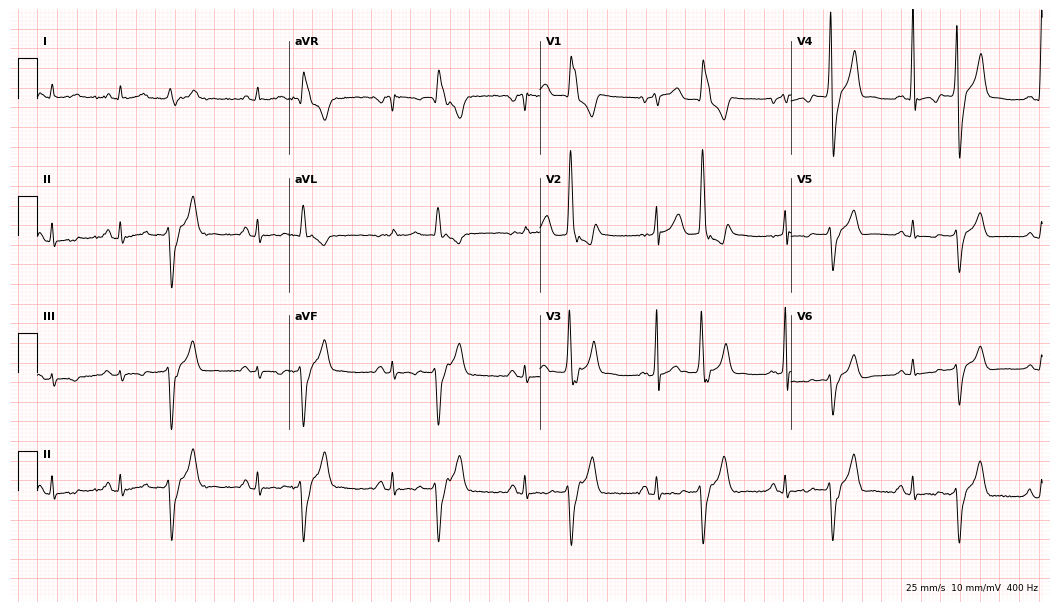
12-lead ECG from a 54-year-old man (10.2-second recording at 400 Hz). No first-degree AV block, right bundle branch block (RBBB), left bundle branch block (LBBB), sinus bradycardia, atrial fibrillation (AF) or sinus tachycardia recorded for this tracing. Findings outside these six are not listed.